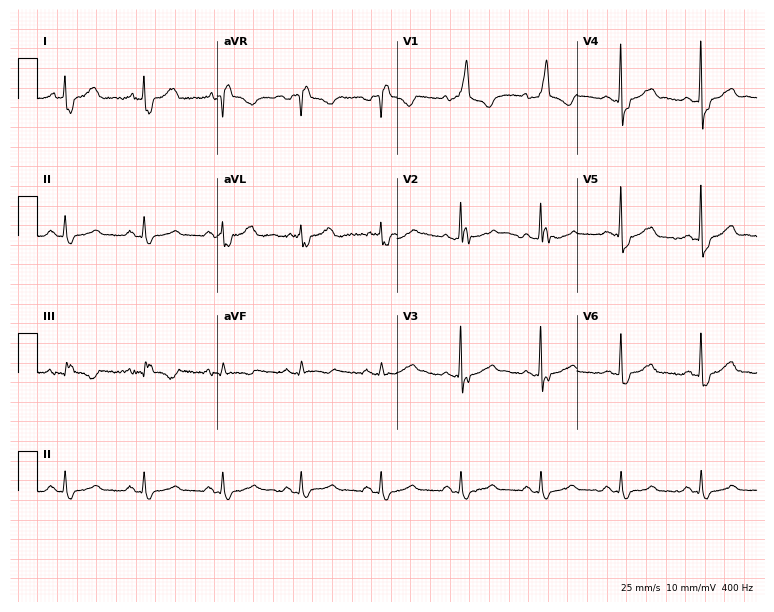
12-lead ECG from a male patient, 85 years old (7.3-second recording at 400 Hz). Shows right bundle branch block (RBBB).